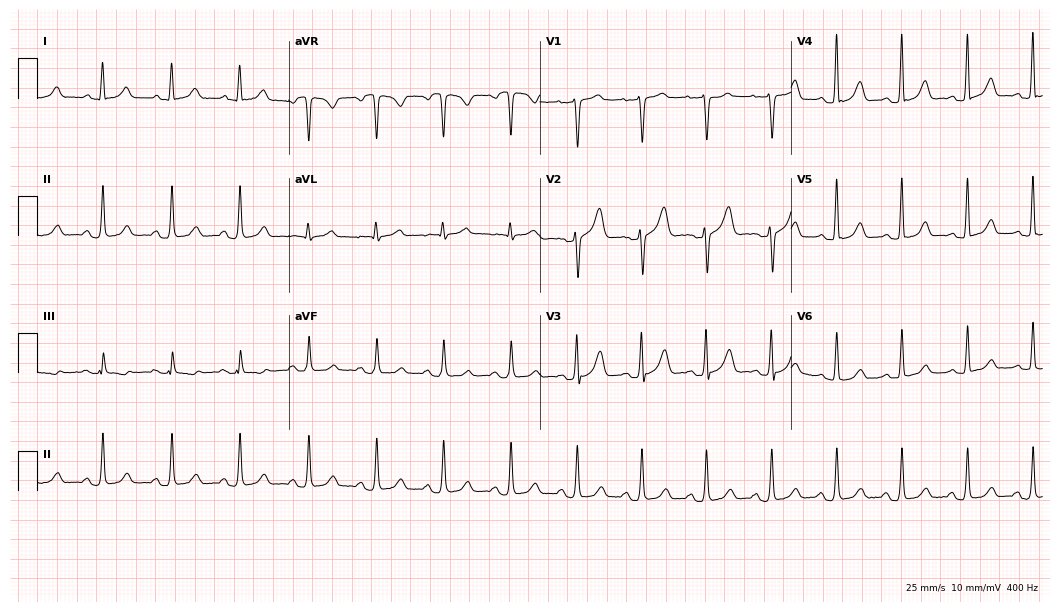
Resting 12-lead electrocardiogram. Patient: a female, 43 years old. Read as a normal ECG.